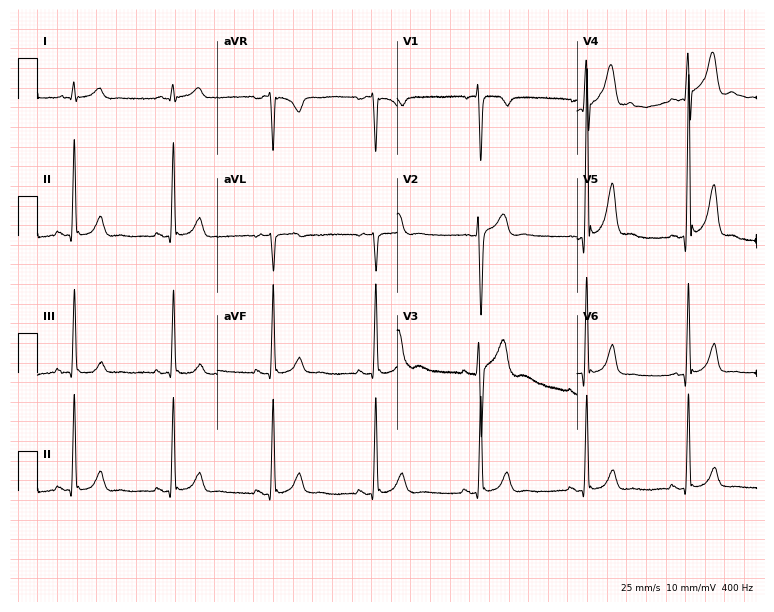
Resting 12-lead electrocardiogram. Patient: a 33-year-old man. None of these six findings is recorded: first-degree AV block, right bundle branch block (RBBB), left bundle branch block (LBBB), sinus bradycardia, atrial fibrillation (AF), sinus tachycardia.